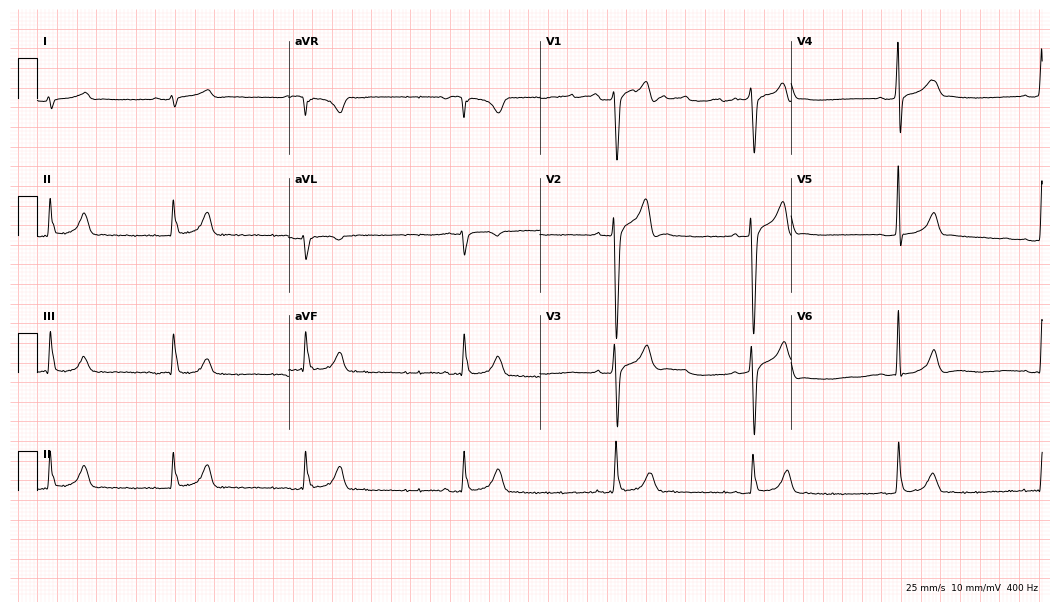
Electrocardiogram (10.2-second recording at 400 Hz), a woman, 26 years old. Of the six screened findings (first-degree AV block, right bundle branch block (RBBB), left bundle branch block (LBBB), sinus bradycardia, atrial fibrillation (AF), sinus tachycardia), none is recorded.